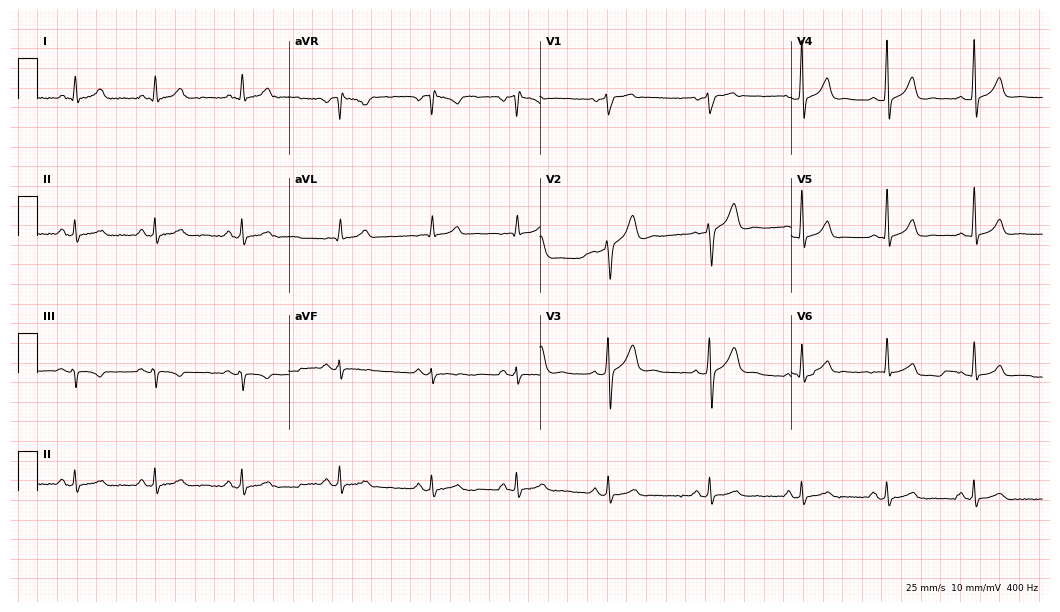
12-lead ECG (10.2-second recording at 400 Hz) from a man, 34 years old. Labelled as a normal ECG.